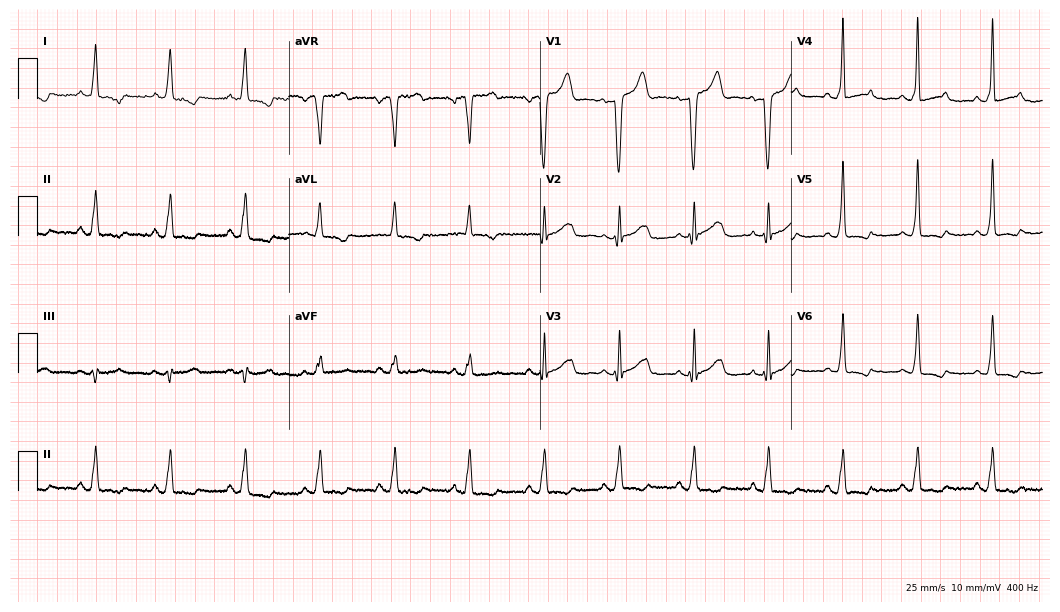
Electrocardiogram (10.2-second recording at 400 Hz), a 72-year-old female. Of the six screened findings (first-degree AV block, right bundle branch block (RBBB), left bundle branch block (LBBB), sinus bradycardia, atrial fibrillation (AF), sinus tachycardia), none is recorded. Other findings, if any, are not listed.